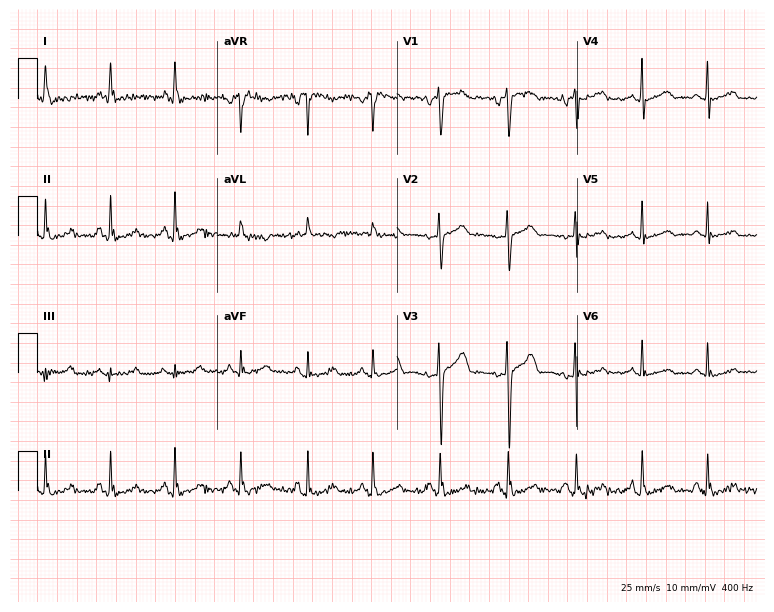
Electrocardiogram (7.3-second recording at 400 Hz), a female patient, 32 years old. Of the six screened findings (first-degree AV block, right bundle branch block (RBBB), left bundle branch block (LBBB), sinus bradycardia, atrial fibrillation (AF), sinus tachycardia), none is recorded.